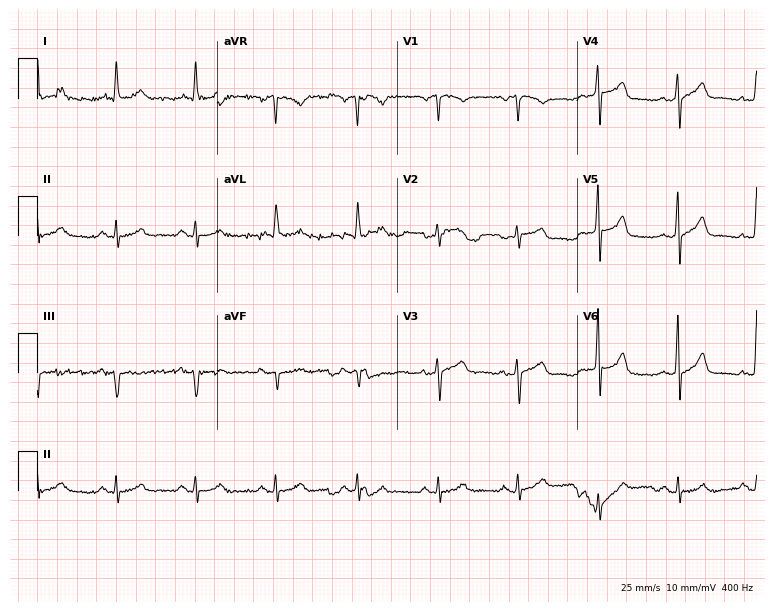
Standard 12-lead ECG recorded from a male, 60 years old (7.3-second recording at 400 Hz). Read as a normal ECG.